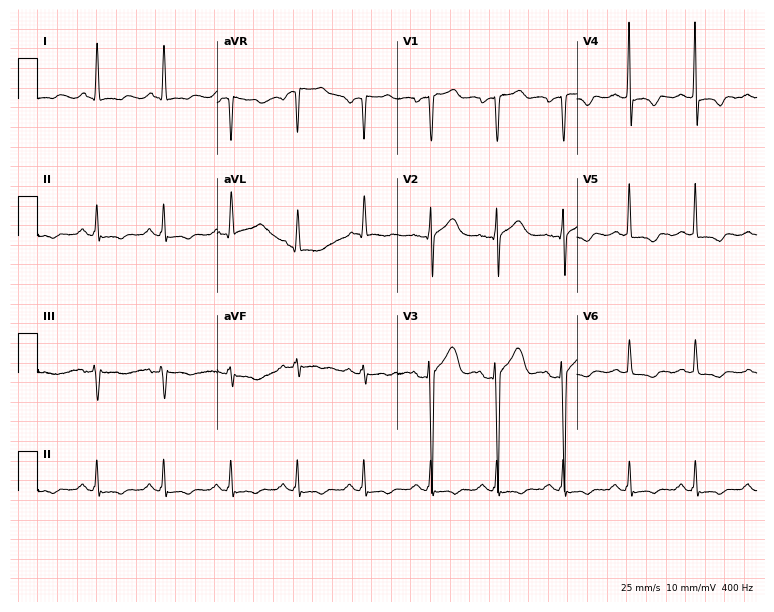
ECG — a 38-year-old male patient. Screened for six findings — first-degree AV block, right bundle branch block, left bundle branch block, sinus bradycardia, atrial fibrillation, sinus tachycardia — none is recorded.